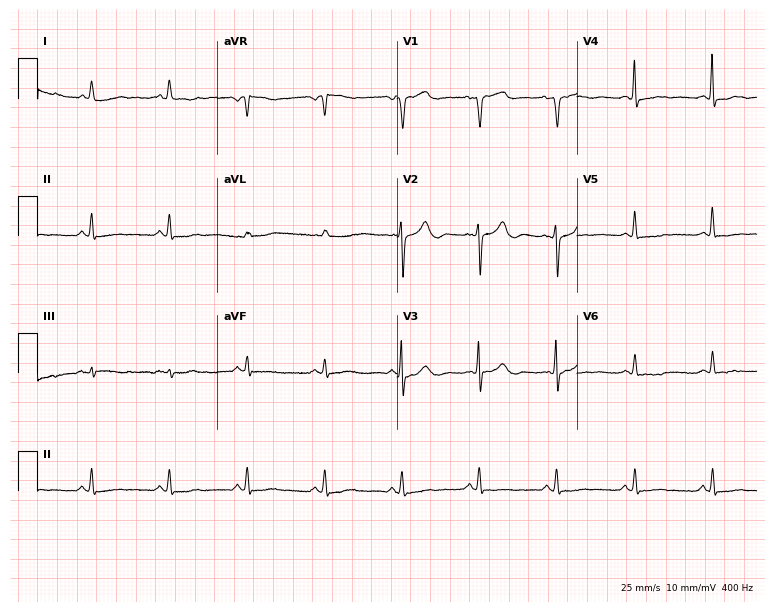
Electrocardiogram, a 69-year-old female patient. Of the six screened findings (first-degree AV block, right bundle branch block, left bundle branch block, sinus bradycardia, atrial fibrillation, sinus tachycardia), none is recorded. Only these six findings were labelled.